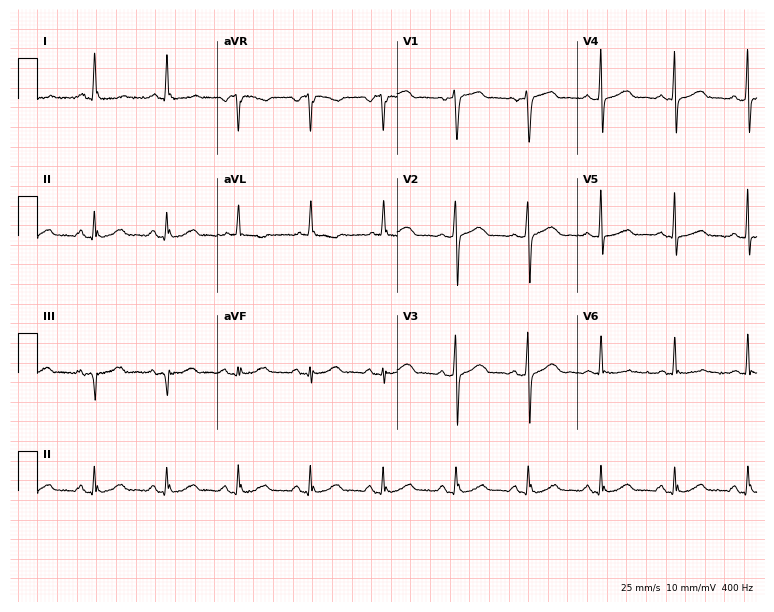
12-lead ECG (7.3-second recording at 400 Hz) from a 64-year-old woman. Labelled as a normal ECG.